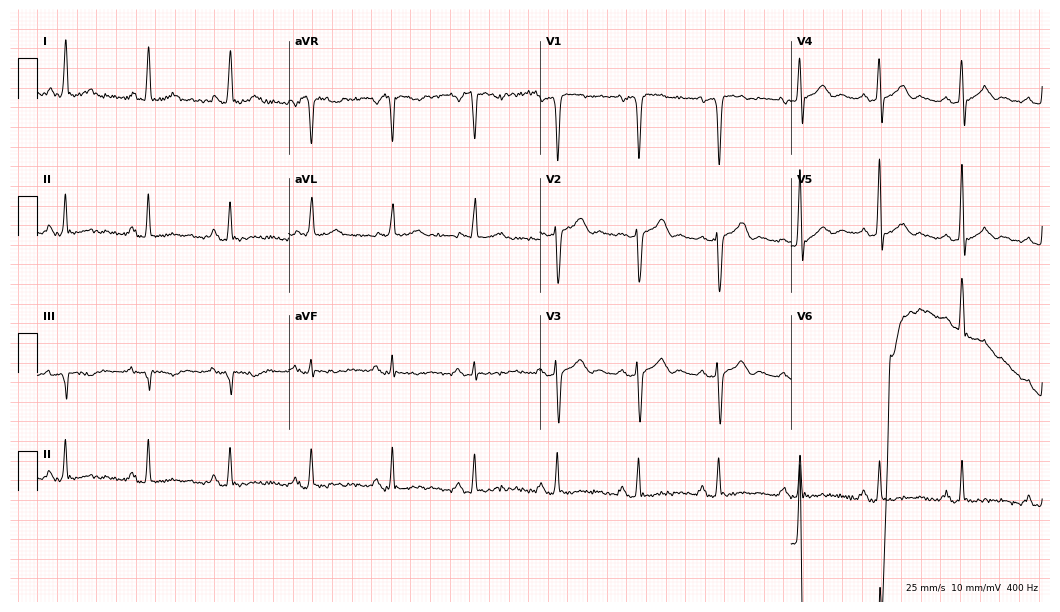
Electrocardiogram, a male patient, 58 years old. Of the six screened findings (first-degree AV block, right bundle branch block (RBBB), left bundle branch block (LBBB), sinus bradycardia, atrial fibrillation (AF), sinus tachycardia), none is recorded.